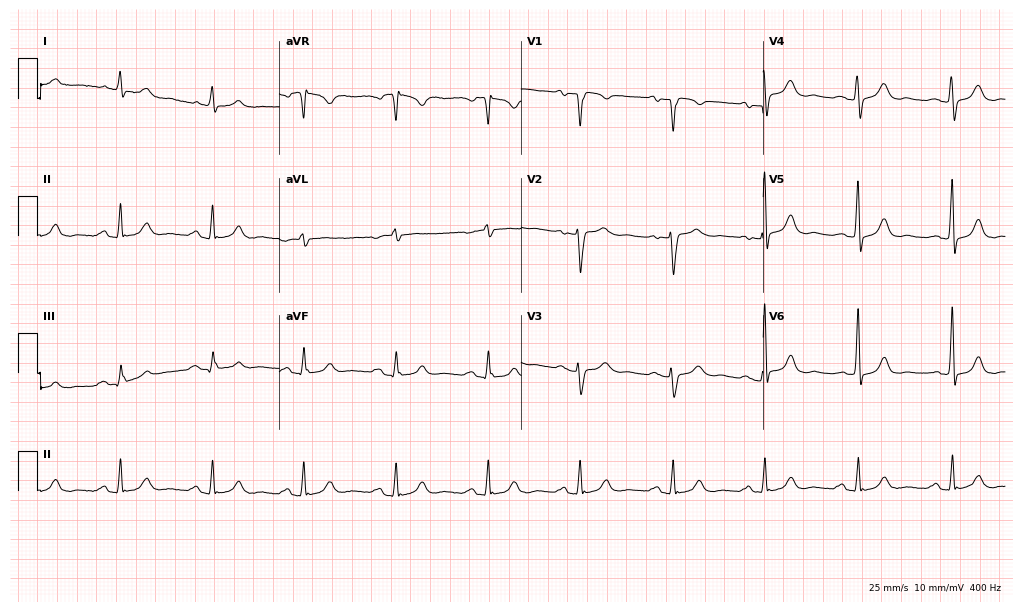
12-lead ECG from a woman, 70 years old. Labelled as a normal ECG.